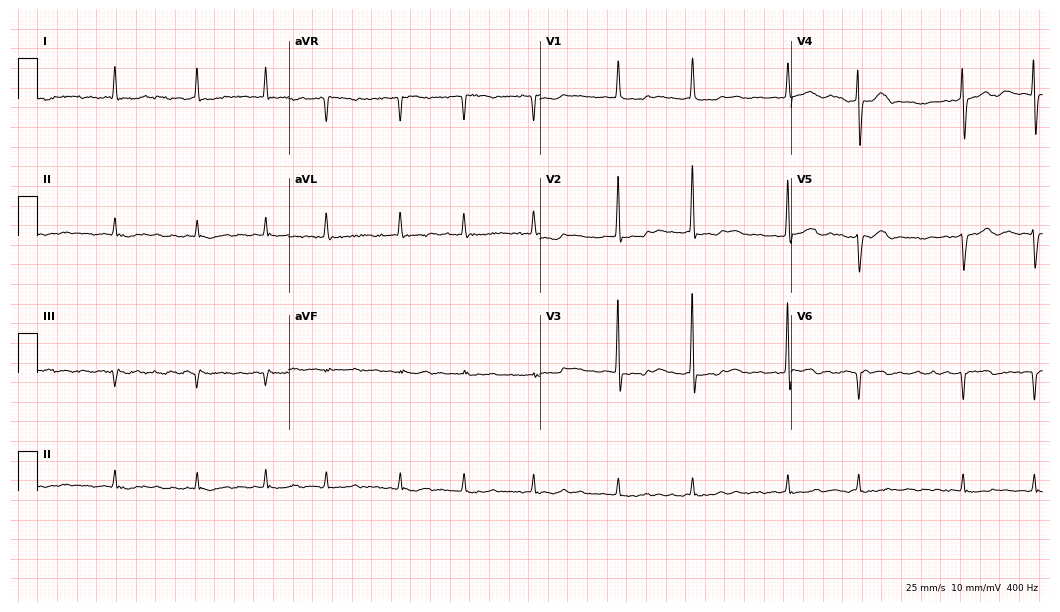
Electrocardiogram, a male patient, 79 years old. Of the six screened findings (first-degree AV block, right bundle branch block (RBBB), left bundle branch block (LBBB), sinus bradycardia, atrial fibrillation (AF), sinus tachycardia), none is recorded.